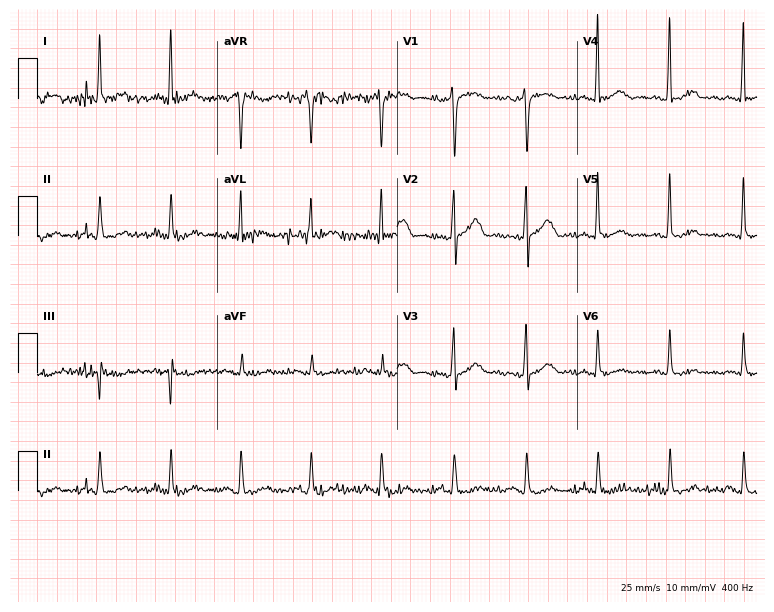
Standard 12-lead ECG recorded from a 53-year-old male (7.3-second recording at 400 Hz). Read as a normal ECG.